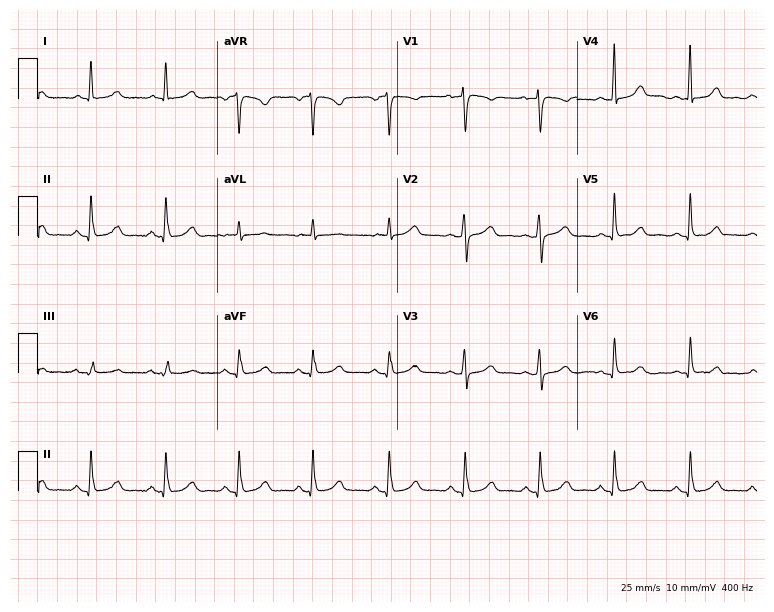
12-lead ECG (7.3-second recording at 400 Hz) from a woman, 51 years old. Labelled as a normal ECG.